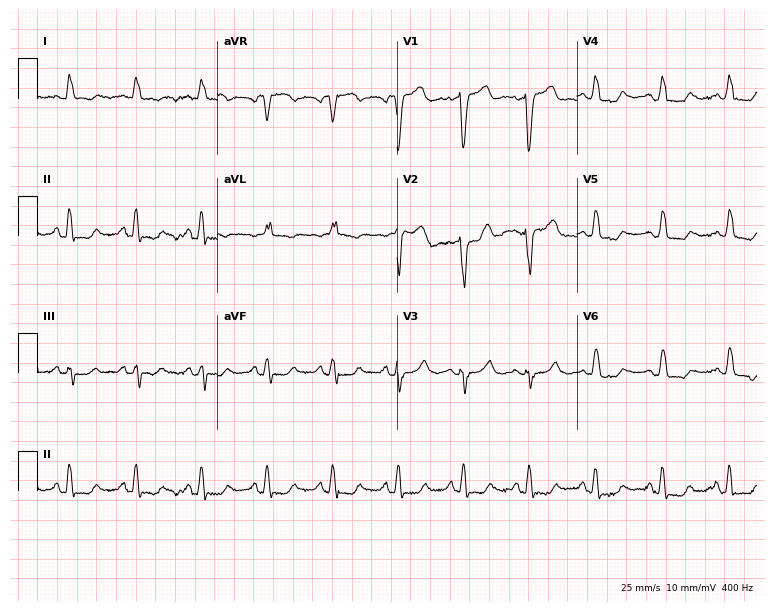
ECG — a female, 82 years old. Screened for six findings — first-degree AV block, right bundle branch block (RBBB), left bundle branch block (LBBB), sinus bradycardia, atrial fibrillation (AF), sinus tachycardia — none is recorded. Findings outside these six are not listed.